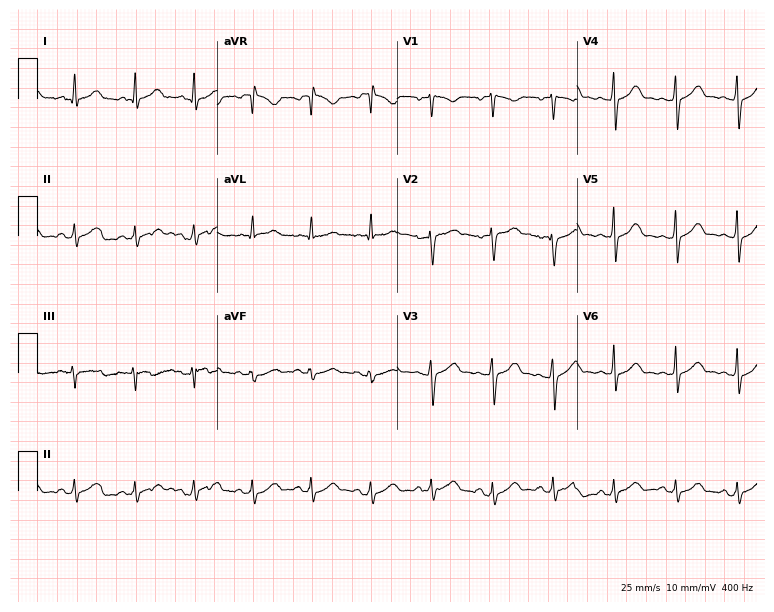
Resting 12-lead electrocardiogram (7.3-second recording at 400 Hz). Patient: a female, 26 years old. Read as a normal ECG.